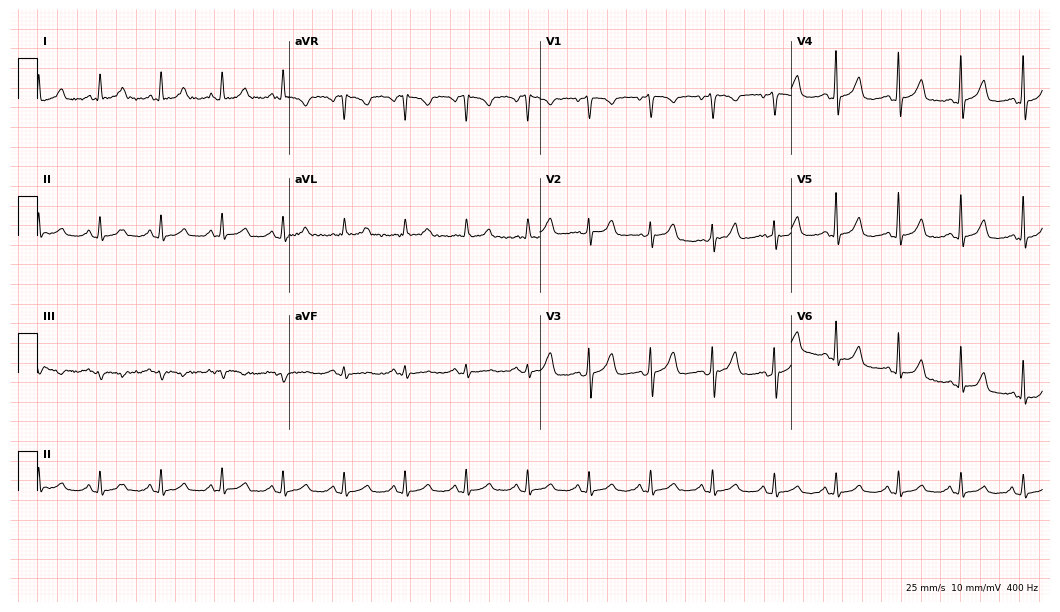
Standard 12-lead ECG recorded from a 46-year-old female patient. Read as a normal ECG.